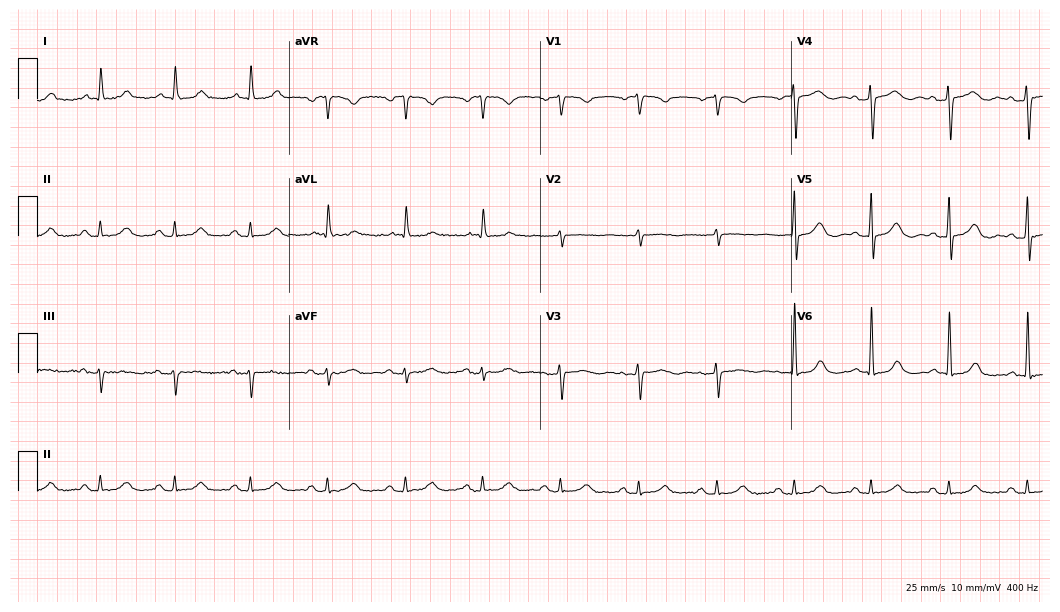
ECG — a male patient, 53 years old. Labelled as a normal ECG.